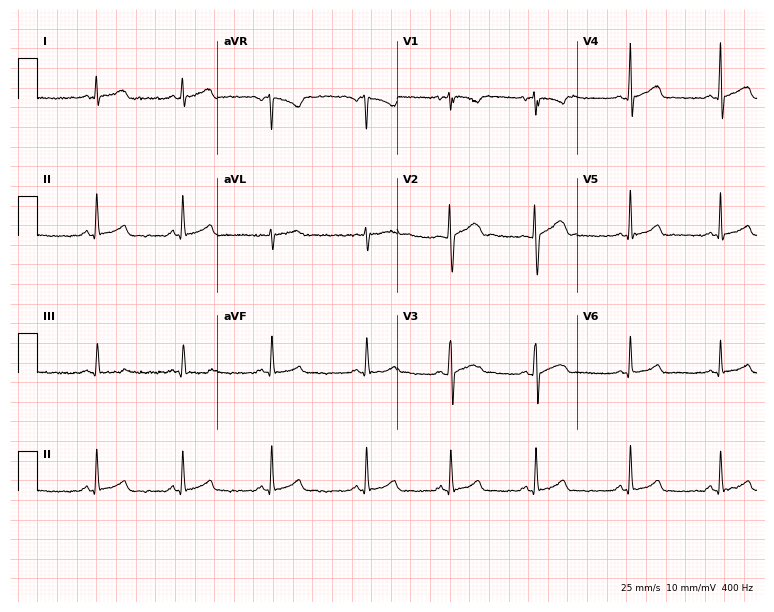
12-lead ECG from an 18-year-old female patient. No first-degree AV block, right bundle branch block (RBBB), left bundle branch block (LBBB), sinus bradycardia, atrial fibrillation (AF) or sinus tachycardia recorded for this tracing.